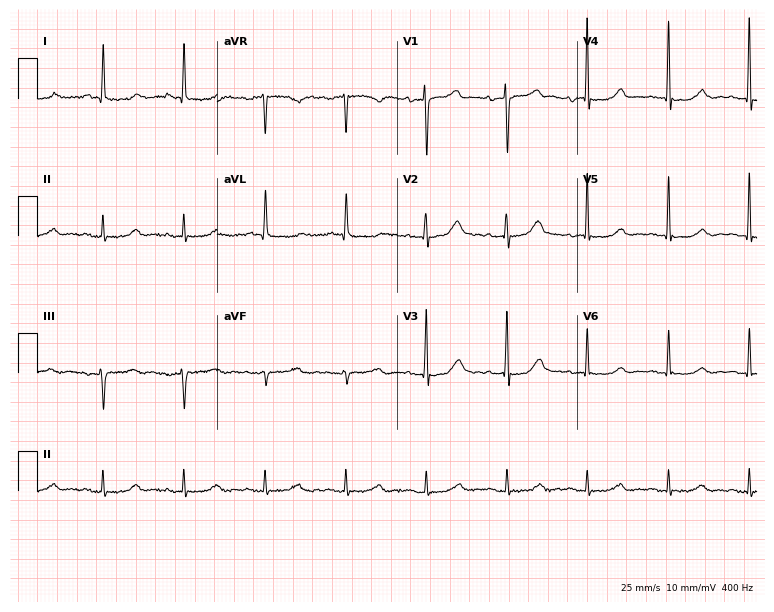
Standard 12-lead ECG recorded from a female patient, 72 years old. None of these six findings is recorded: first-degree AV block, right bundle branch block (RBBB), left bundle branch block (LBBB), sinus bradycardia, atrial fibrillation (AF), sinus tachycardia. Other findings, if any, are not listed.